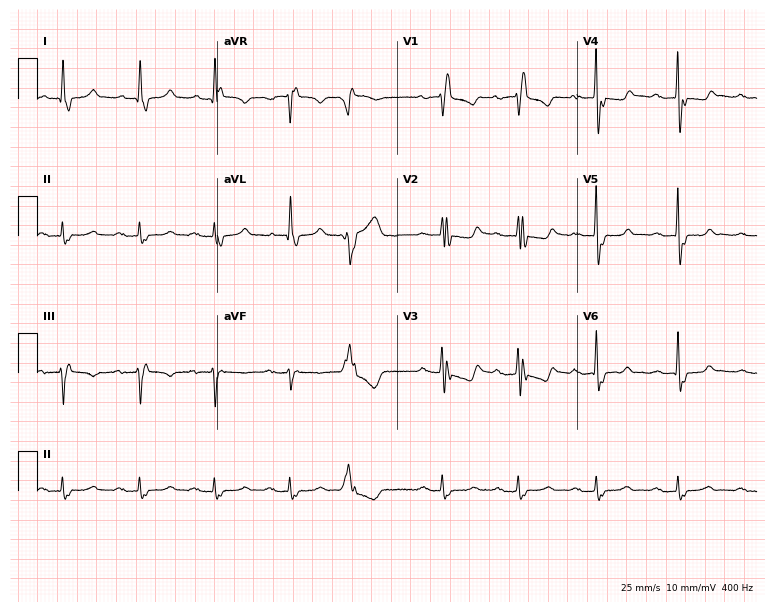
ECG (7.3-second recording at 400 Hz) — a man, 66 years old. Screened for six findings — first-degree AV block, right bundle branch block (RBBB), left bundle branch block (LBBB), sinus bradycardia, atrial fibrillation (AF), sinus tachycardia — none is recorded.